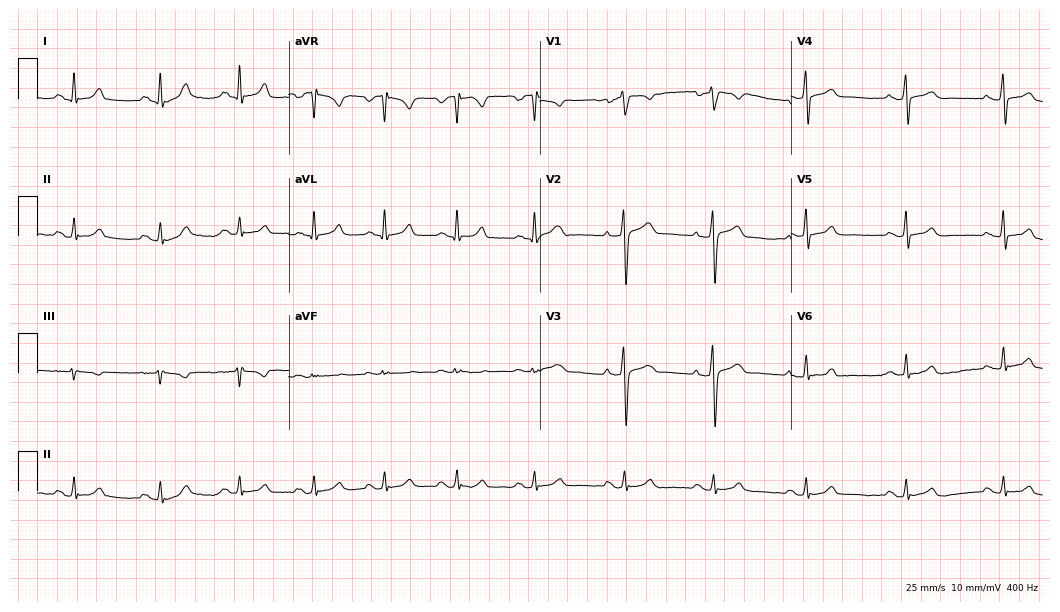
Electrocardiogram, a 28-year-old male. Overall reading on record: normal ECG.